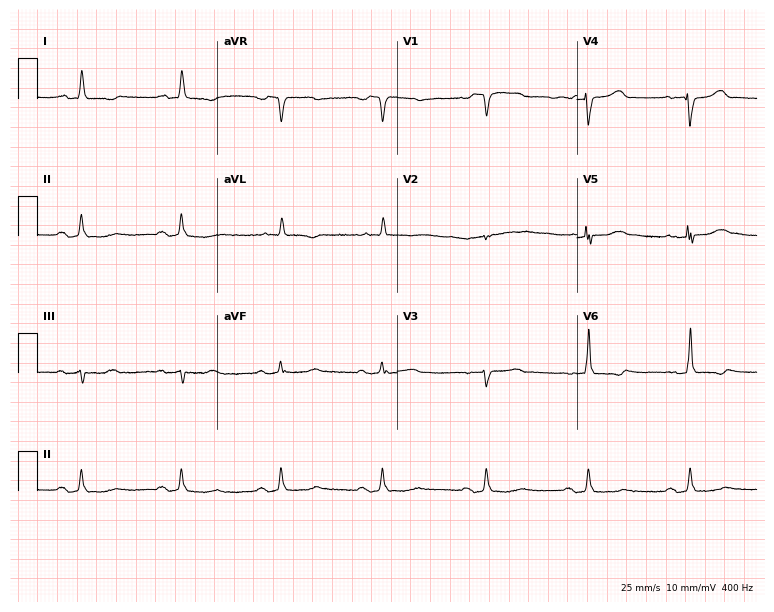
12-lead ECG (7.3-second recording at 400 Hz) from a male patient, 82 years old. Findings include first-degree AV block.